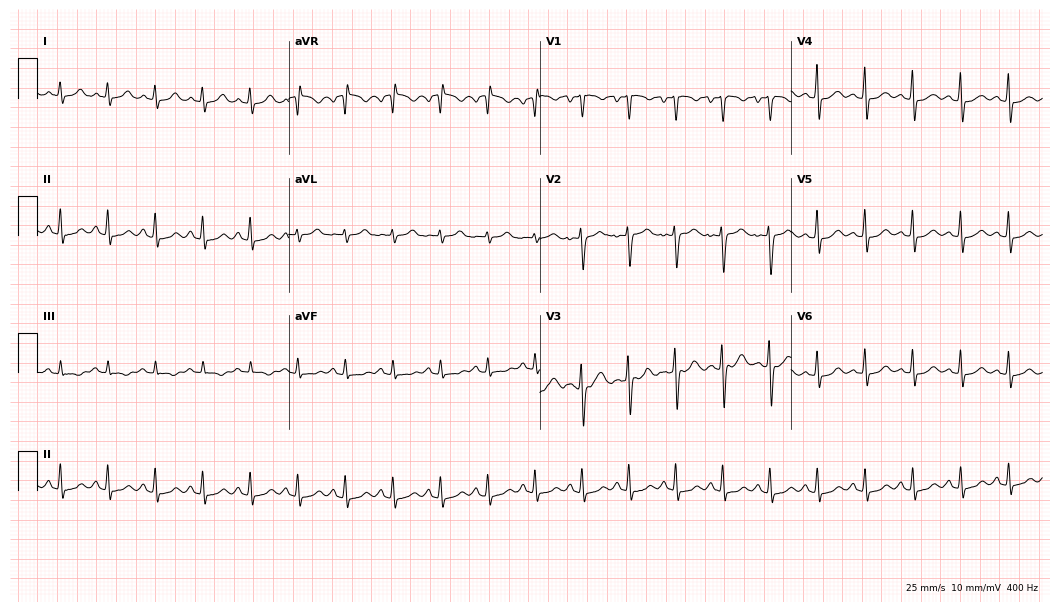
12-lead ECG from an 18-year-old female patient (10.2-second recording at 400 Hz). Shows sinus tachycardia (a sinus rate of 100 beats per minute or more).